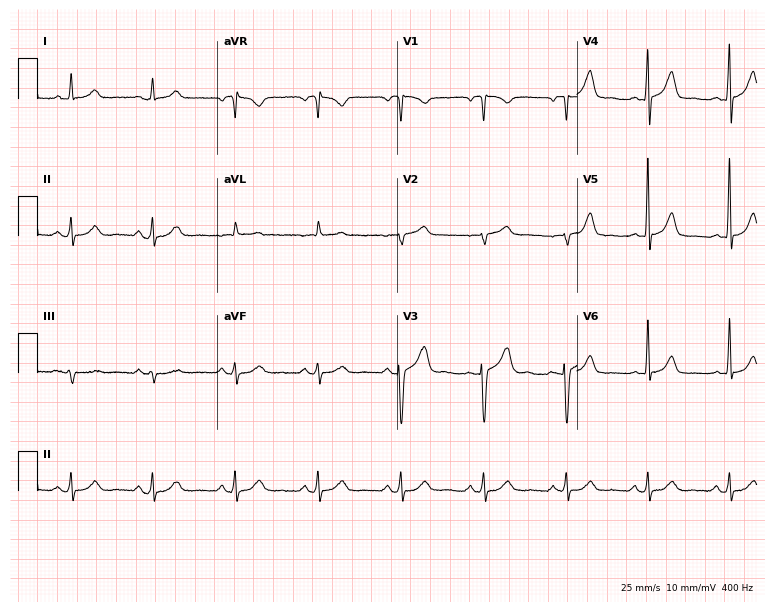
Electrocardiogram, a 70-year-old male. Overall reading on record: normal ECG.